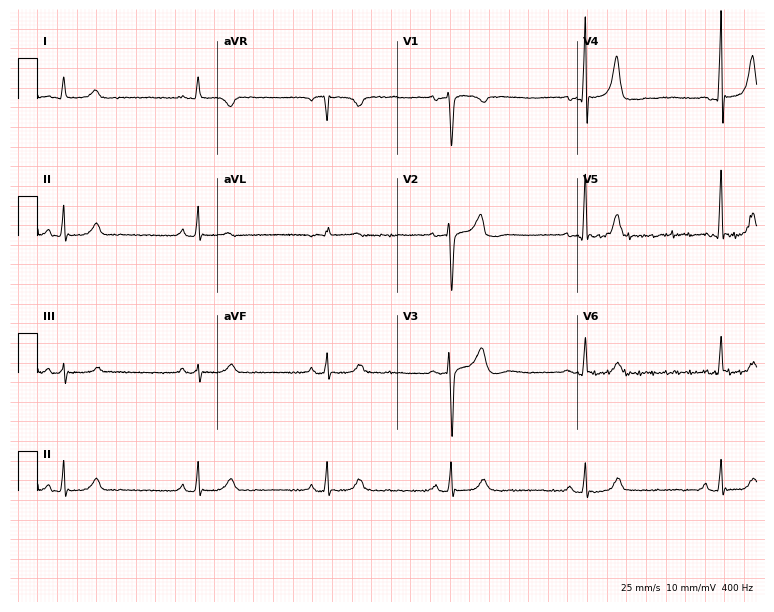
ECG — a male patient, 49 years old. Findings include sinus bradycardia (a sinus rate of 50 beats per minute or less).